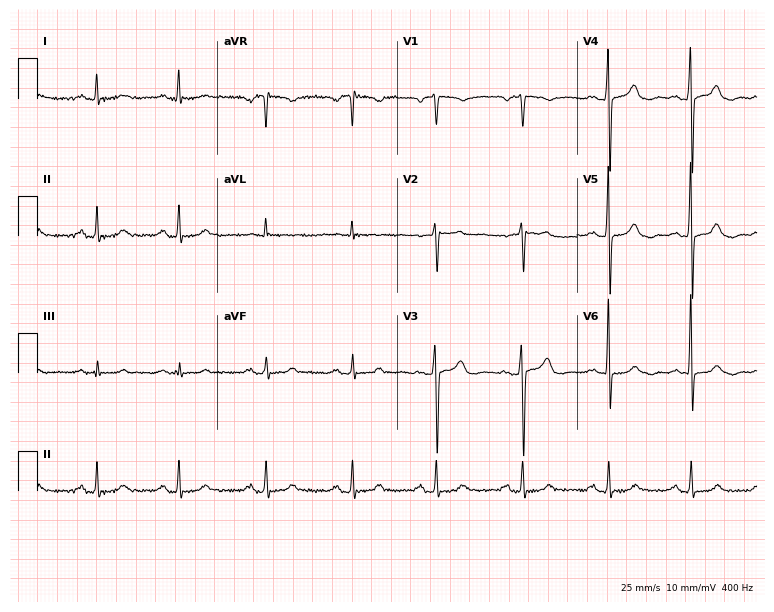
Standard 12-lead ECG recorded from a woman, 59 years old. Read as a normal ECG.